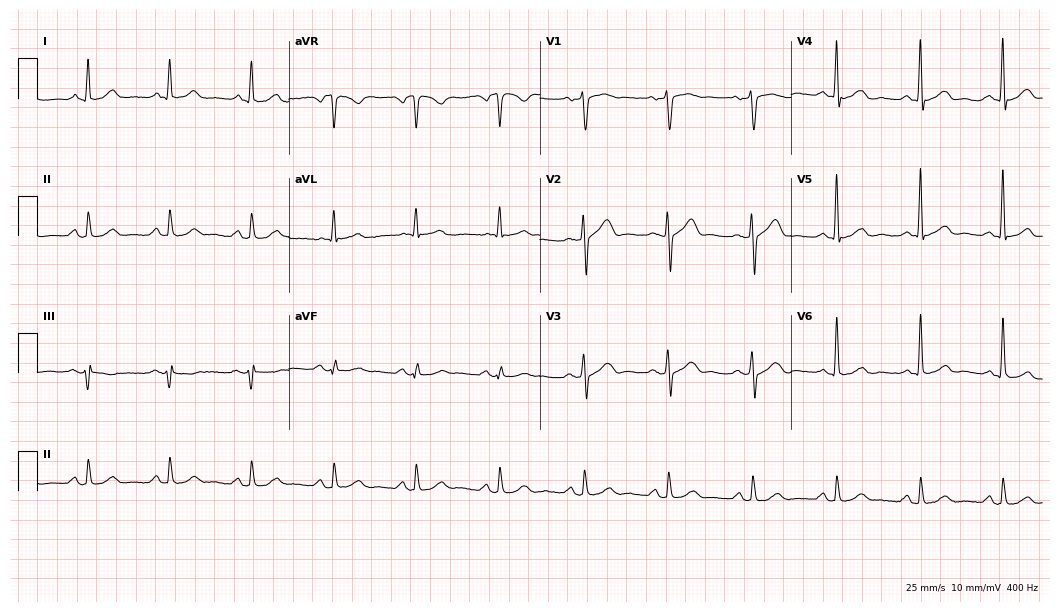
12-lead ECG from a man, 53 years old. Recorded interpretation: within normal limits.